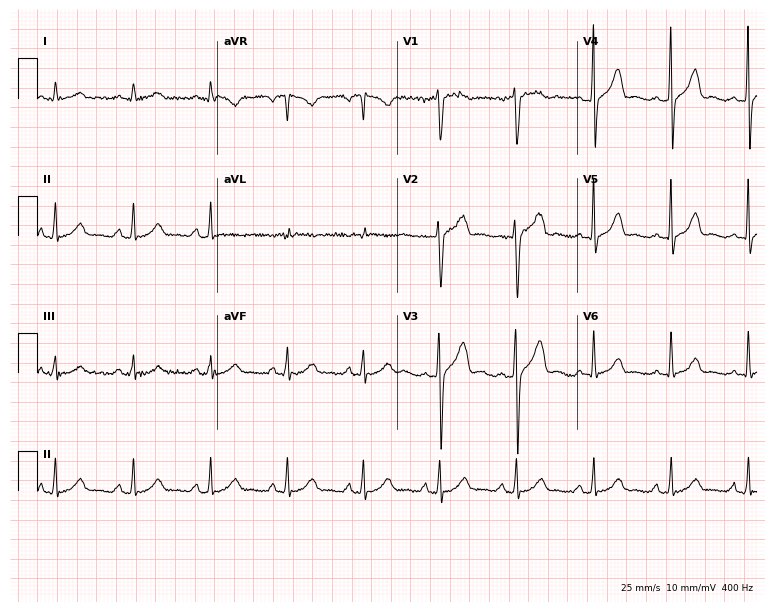
Resting 12-lead electrocardiogram (7.3-second recording at 400 Hz). Patient: a 43-year-old male. Read as a normal ECG.